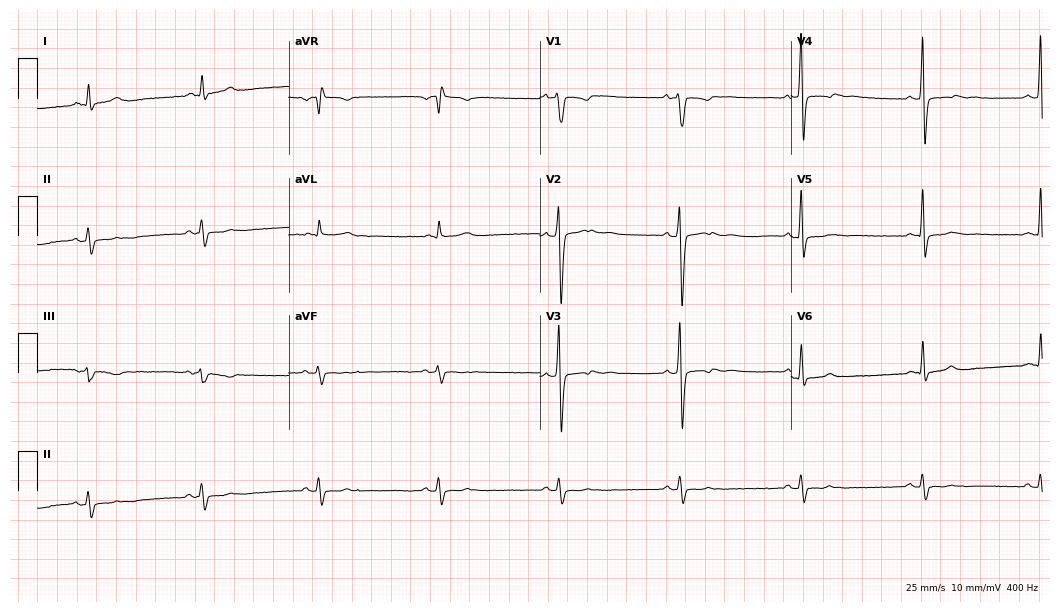
ECG — a man, 41 years old. Screened for six findings — first-degree AV block, right bundle branch block, left bundle branch block, sinus bradycardia, atrial fibrillation, sinus tachycardia — none is recorded. Findings outside these six are not listed.